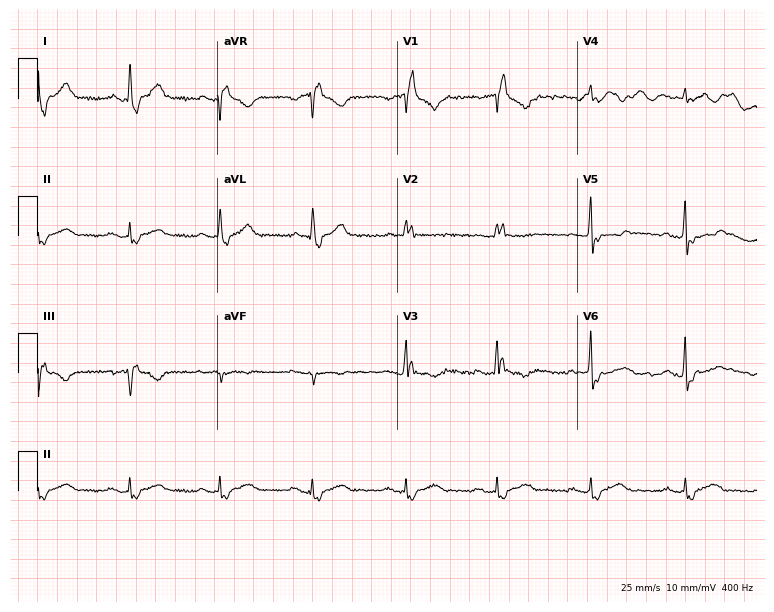
12-lead ECG (7.3-second recording at 400 Hz) from a 44-year-old man. Screened for six findings — first-degree AV block, right bundle branch block, left bundle branch block, sinus bradycardia, atrial fibrillation, sinus tachycardia — none is recorded.